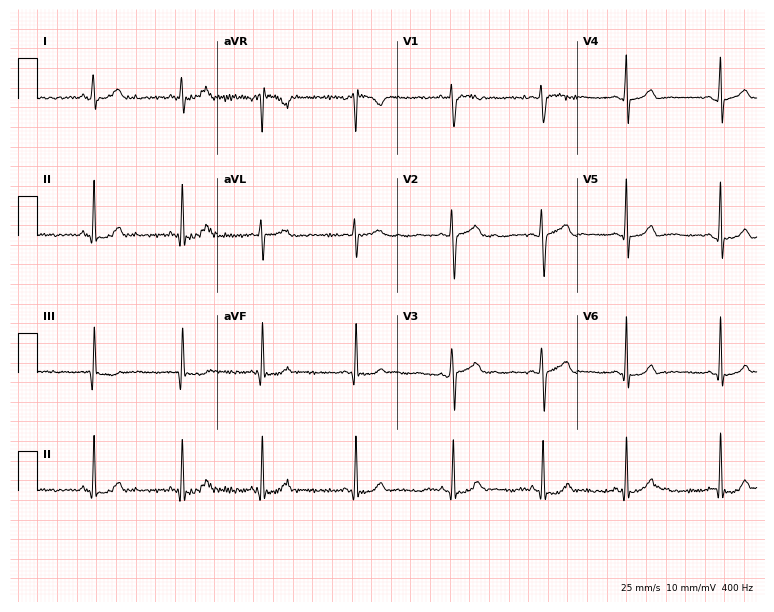
Standard 12-lead ECG recorded from a female, 18 years old (7.3-second recording at 400 Hz). Read as a normal ECG.